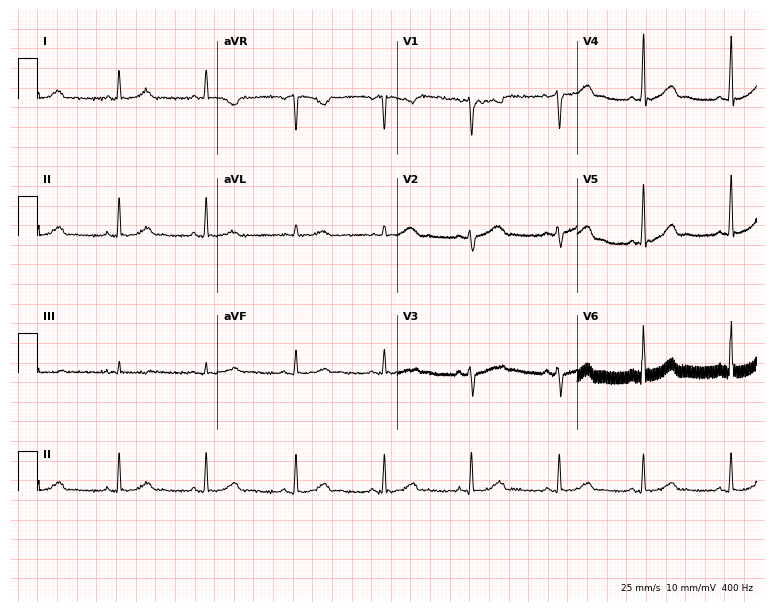
12-lead ECG (7.3-second recording at 400 Hz) from a 29-year-old female. Labelled as a normal ECG.